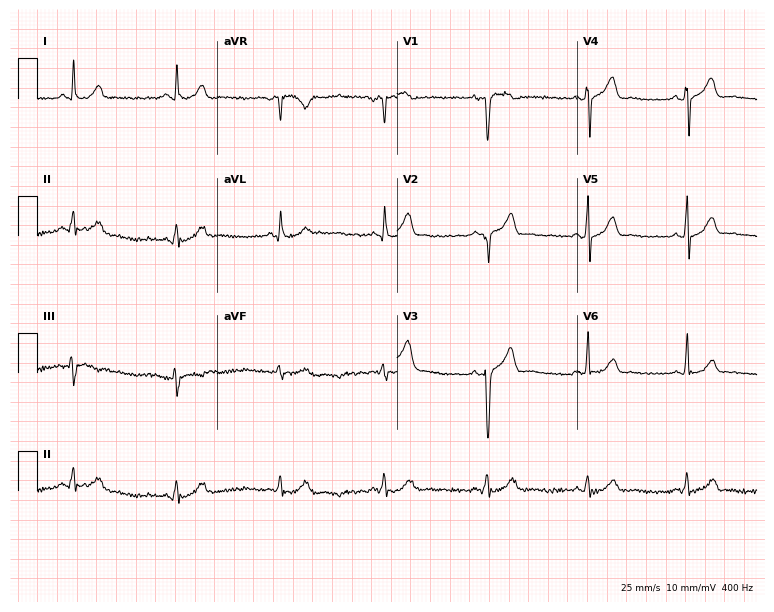
Standard 12-lead ECG recorded from a male, 39 years old. Read as a normal ECG.